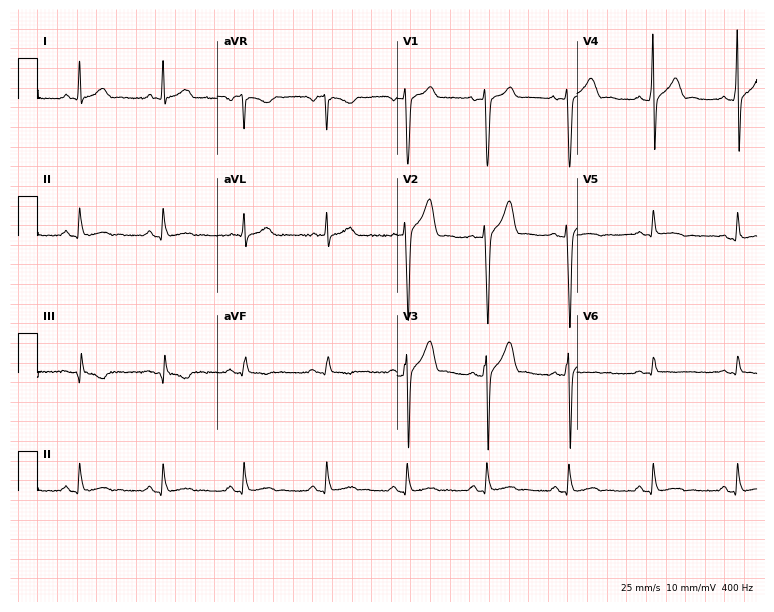
Resting 12-lead electrocardiogram. Patient: a man, 28 years old. None of these six findings is recorded: first-degree AV block, right bundle branch block, left bundle branch block, sinus bradycardia, atrial fibrillation, sinus tachycardia. Findings outside these six are not listed.